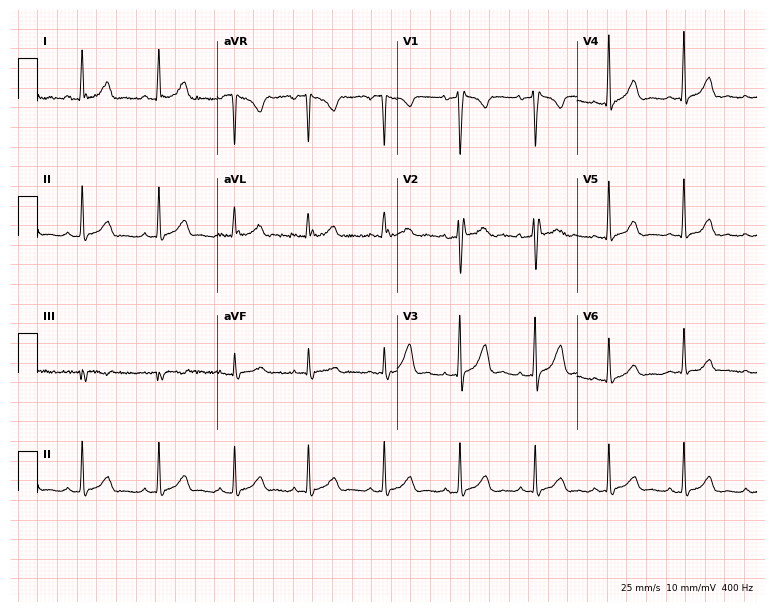
12-lead ECG (7.3-second recording at 400 Hz) from a female patient, 33 years old. Screened for six findings — first-degree AV block, right bundle branch block, left bundle branch block, sinus bradycardia, atrial fibrillation, sinus tachycardia — none is recorded.